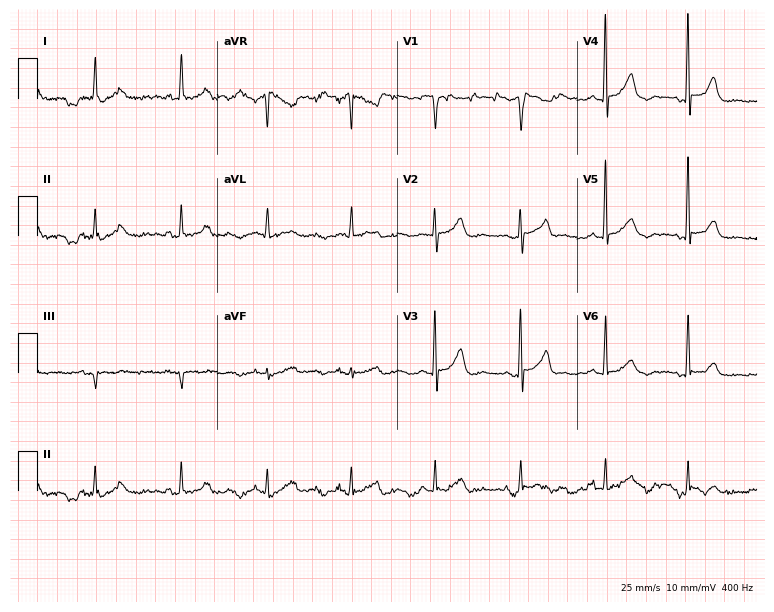
Electrocardiogram (7.3-second recording at 400 Hz), an 83-year-old woman. Of the six screened findings (first-degree AV block, right bundle branch block, left bundle branch block, sinus bradycardia, atrial fibrillation, sinus tachycardia), none is recorded.